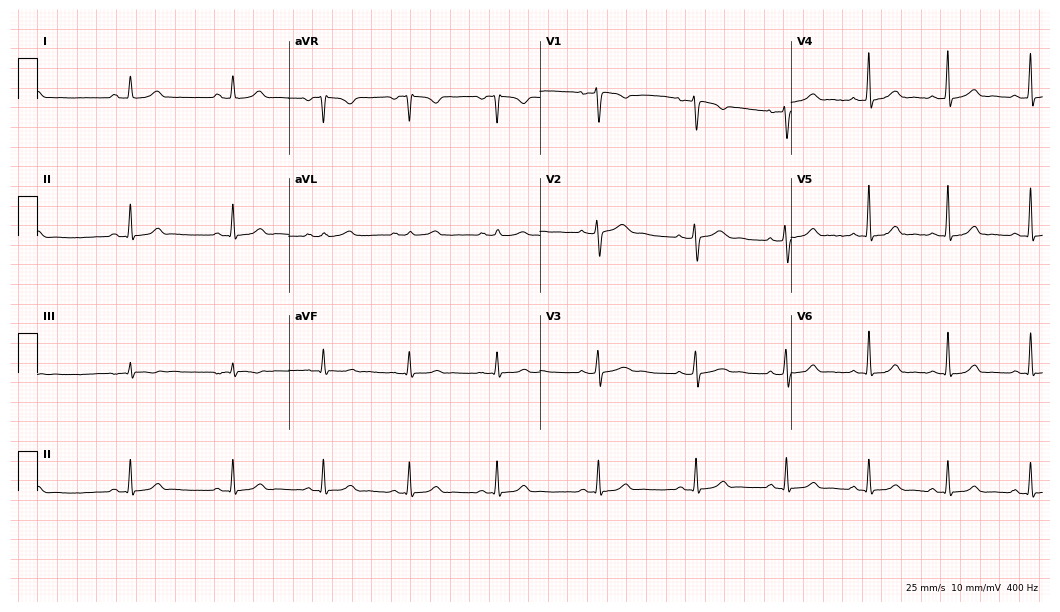
12-lead ECG from a 32-year-old female patient (10.2-second recording at 400 Hz). No first-degree AV block, right bundle branch block, left bundle branch block, sinus bradycardia, atrial fibrillation or sinus tachycardia recorded for this tracing. Findings outside these six are not listed.